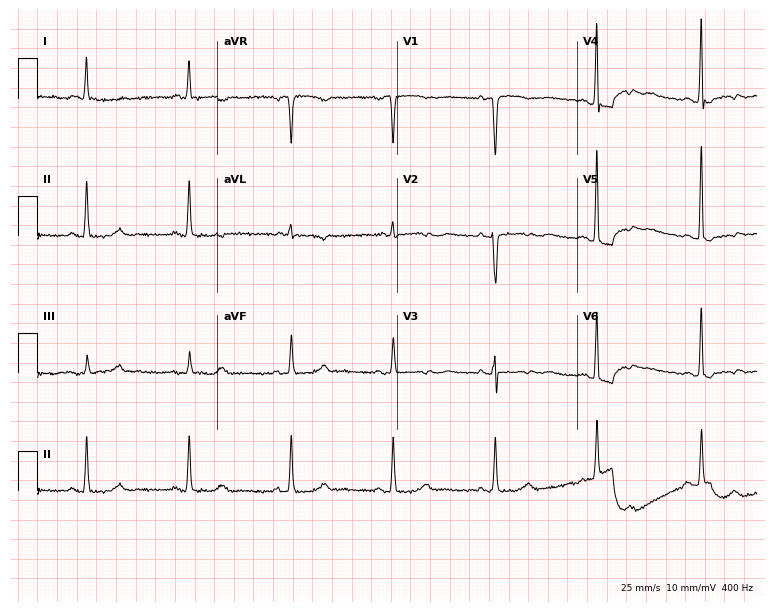
12-lead ECG from a female, 75 years old. No first-degree AV block, right bundle branch block, left bundle branch block, sinus bradycardia, atrial fibrillation or sinus tachycardia recorded for this tracing. Findings outside these six are not listed.